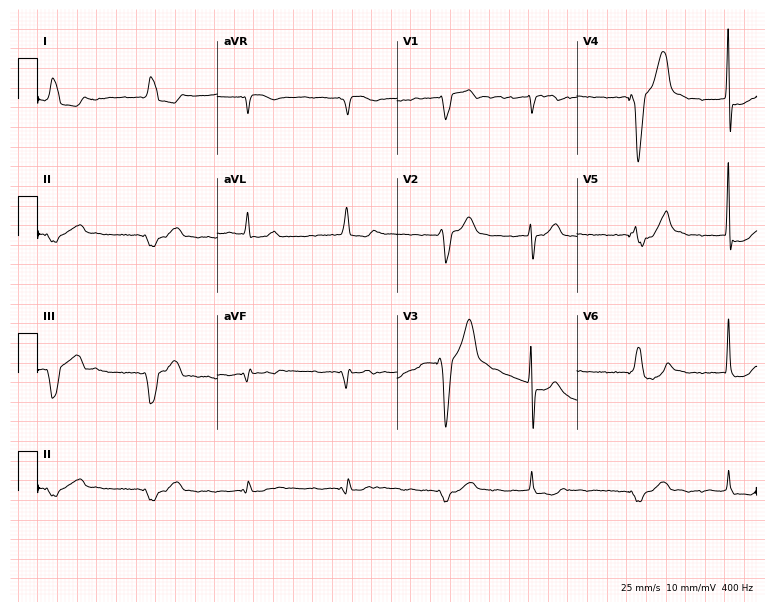
12-lead ECG from a 77-year-old man. Screened for six findings — first-degree AV block, right bundle branch block (RBBB), left bundle branch block (LBBB), sinus bradycardia, atrial fibrillation (AF), sinus tachycardia — none is recorded.